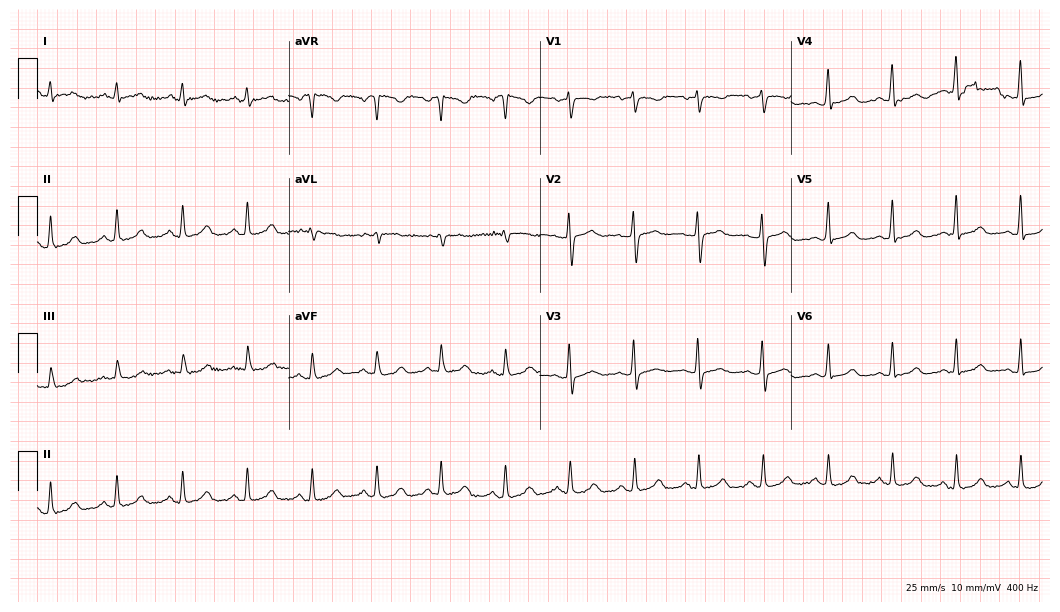
12-lead ECG from a 33-year-old female (10.2-second recording at 400 Hz). Recorded interpretation: within normal limits.